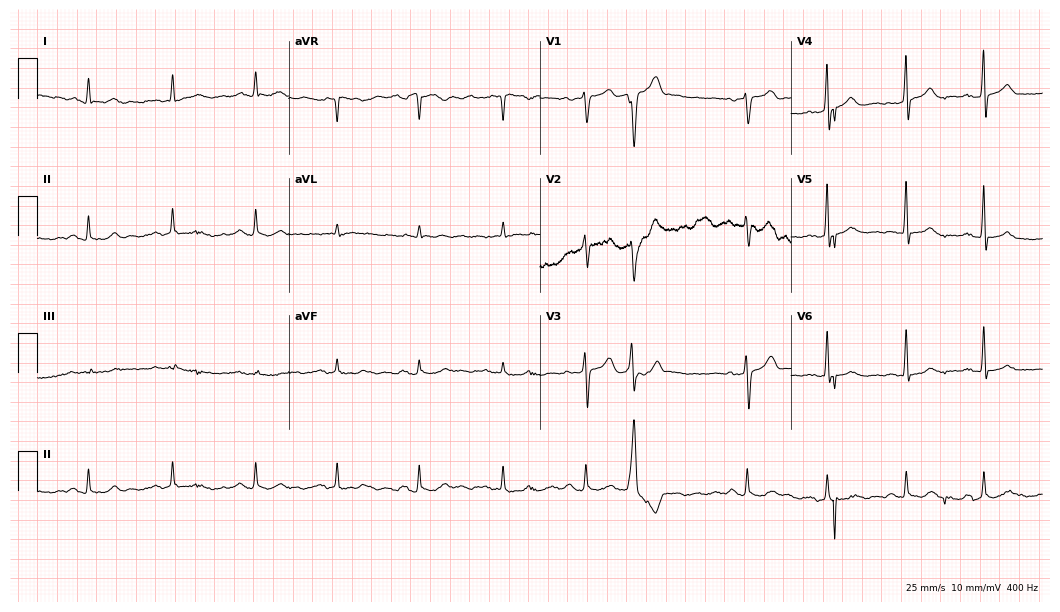
Resting 12-lead electrocardiogram. Patient: a man, 75 years old. None of these six findings is recorded: first-degree AV block, right bundle branch block, left bundle branch block, sinus bradycardia, atrial fibrillation, sinus tachycardia.